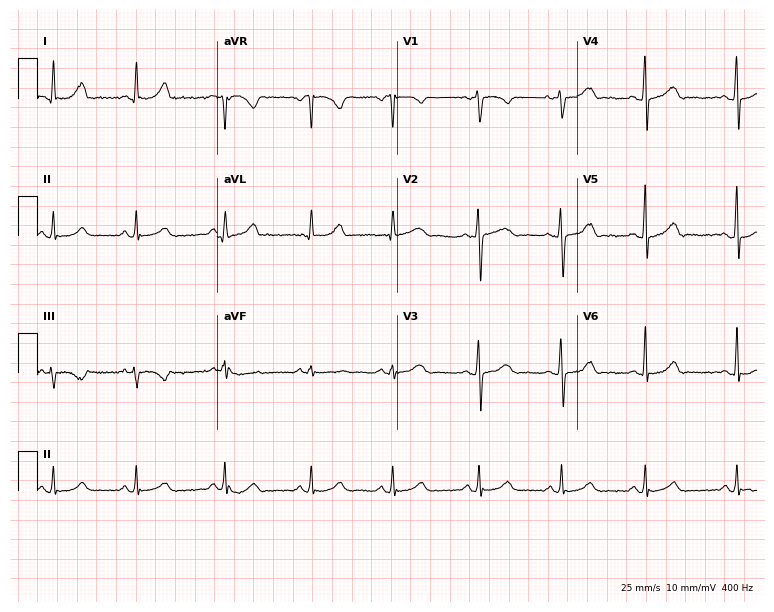
Electrocardiogram, a female, 42 years old. Overall reading on record: normal ECG.